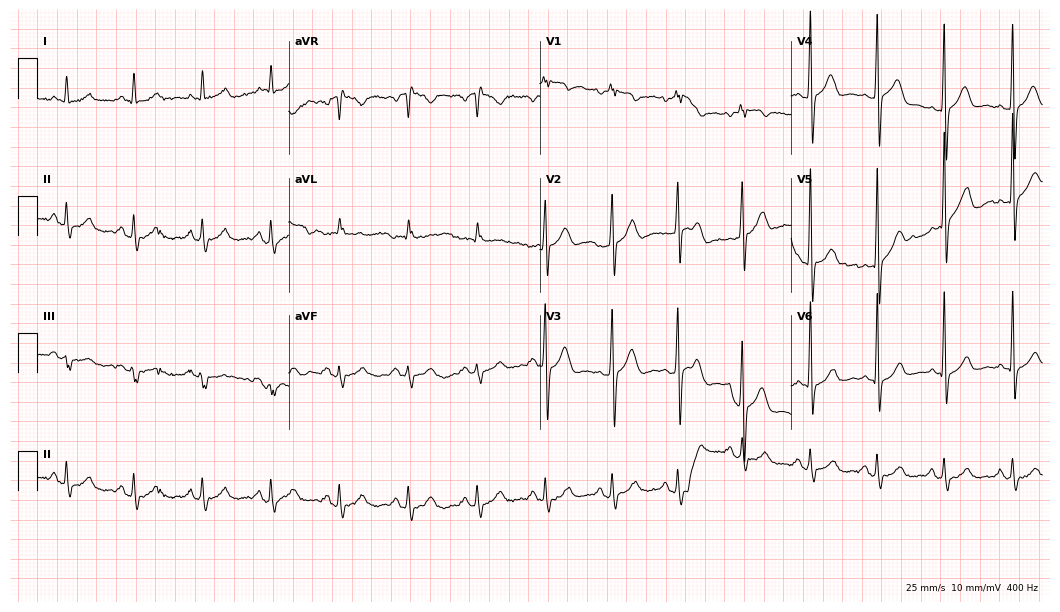
ECG (10.2-second recording at 400 Hz) — a male patient, 53 years old. Labelled as a normal ECG.